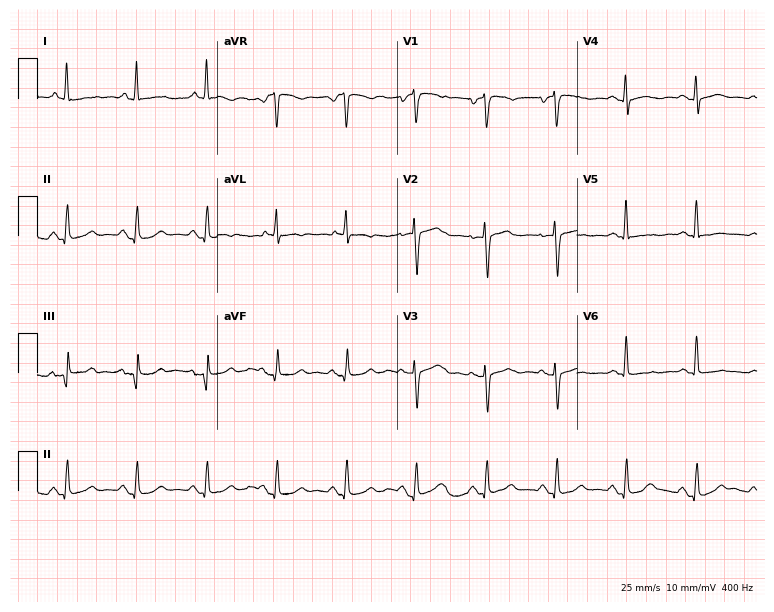
12-lead ECG from a 59-year-old female. Screened for six findings — first-degree AV block, right bundle branch block, left bundle branch block, sinus bradycardia, atrial fibrillation, sinus tachycardia — none is recorded.